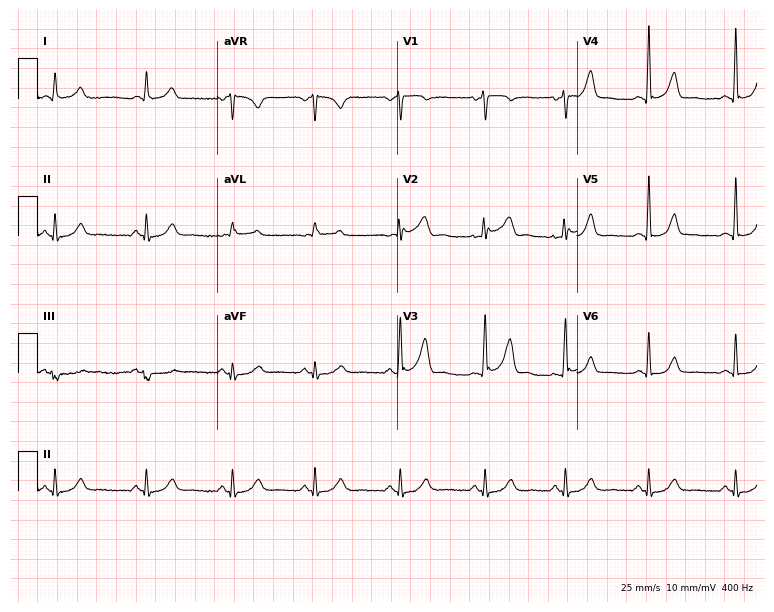
Electrocardiogram (7.3-second recording at 400 Hz), a 56-year-old man. Overall reading on record: normal ECG.